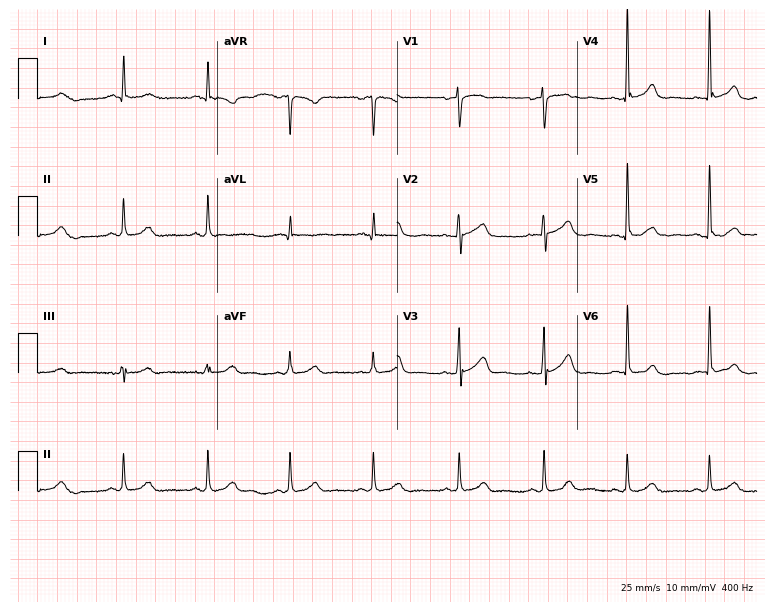
12-lead ECG from a woman, 81 years old (7.3-second recording at 400 Hz). No first-degree AV block, right bundle branch block (RBBB), left bundle branch block (LBBB), sinus bradycardia, atrial fibrillation (AF) or sinus tachycardia recorded for this tracing. Only these six findings were labelled.